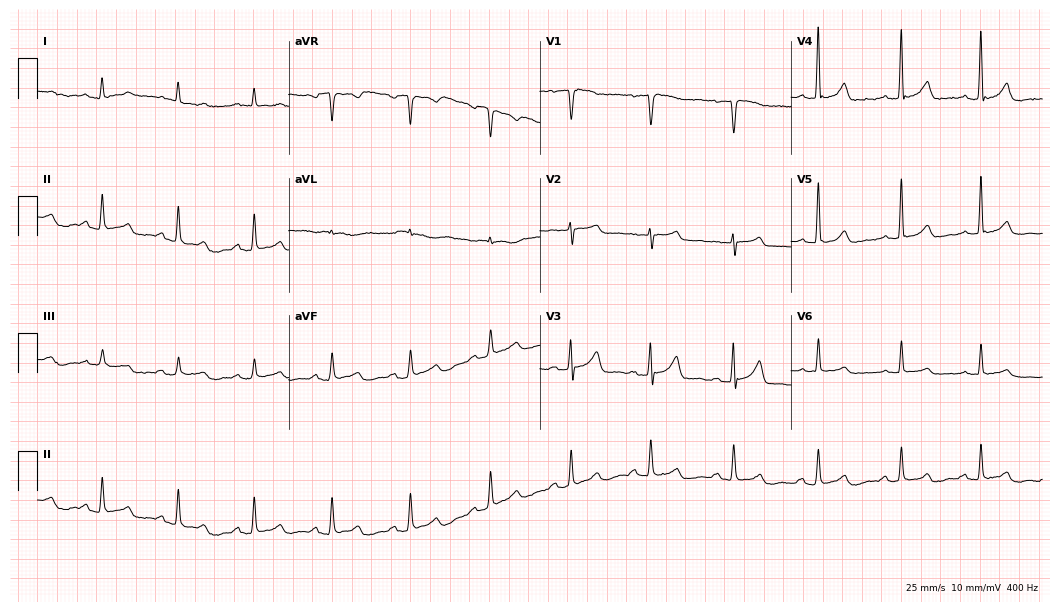
12-lead ECG from a 78-year-old male. No first-degree AV block, right bundle branch block, left bundle branch block, sinus bradycardia, atrial fibrillation or sinus tachycardia recorded for this tracing.